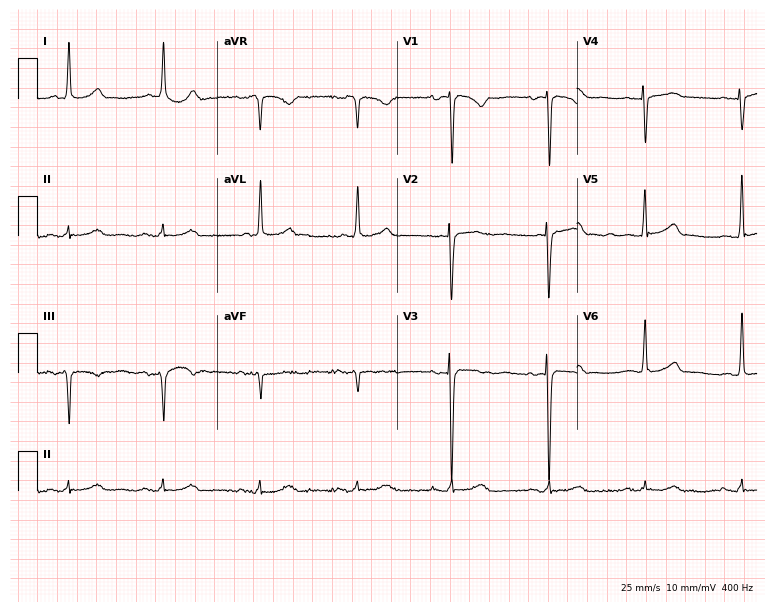
Standard 12-lead ECG recorded from a woman, 78 years old (7.3-second recording at 400 Hz). Read as a normal ECG.